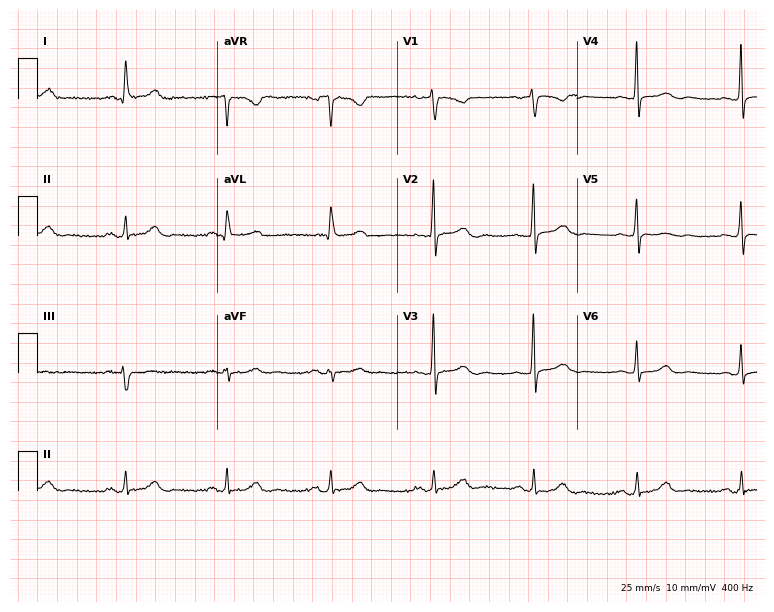
12-lead ECG from a 63-year-old female patient (7.3-second recording at 400 Hz). No first-degree AV block, right bundle branch block (RBBB), left bundle branch block (LBBB), sinus bradycardia, atrial fibrillation (AF) or sinus tachycardia recorded for this tracing.